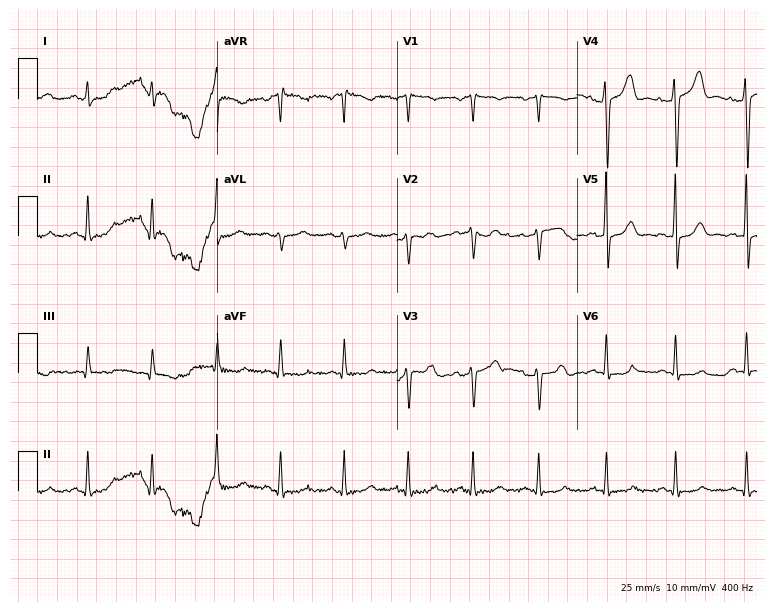
12-lead ECG from a female, 46 years old. Screened for six findings — first-degree AV block, right bundle branch block, left bundle branch block, sinus bradycardia, atrial fibrillation, sinus tachycardia — none is recorded. Other findings, if any, are not listed.